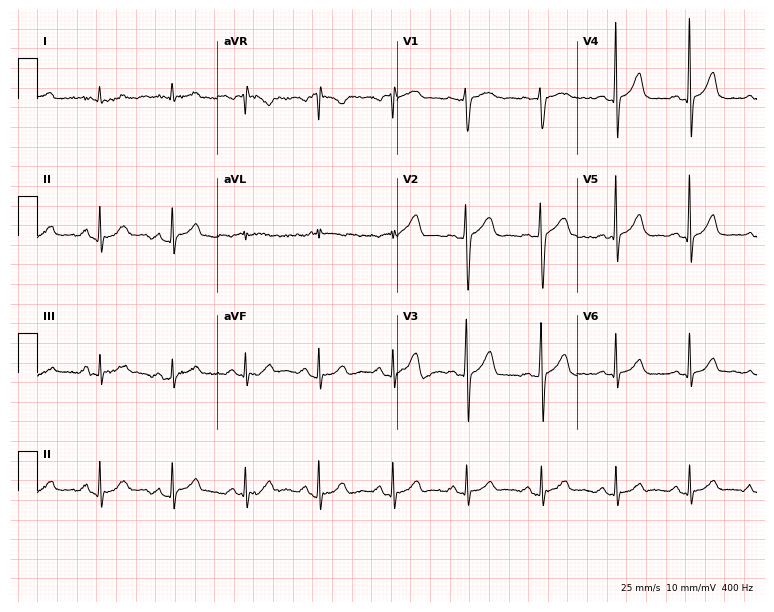
12-lead ECG from a 65-year-old male patient (7.3-second recording at 400 Hz). Recorded interpretation: within normal limits.